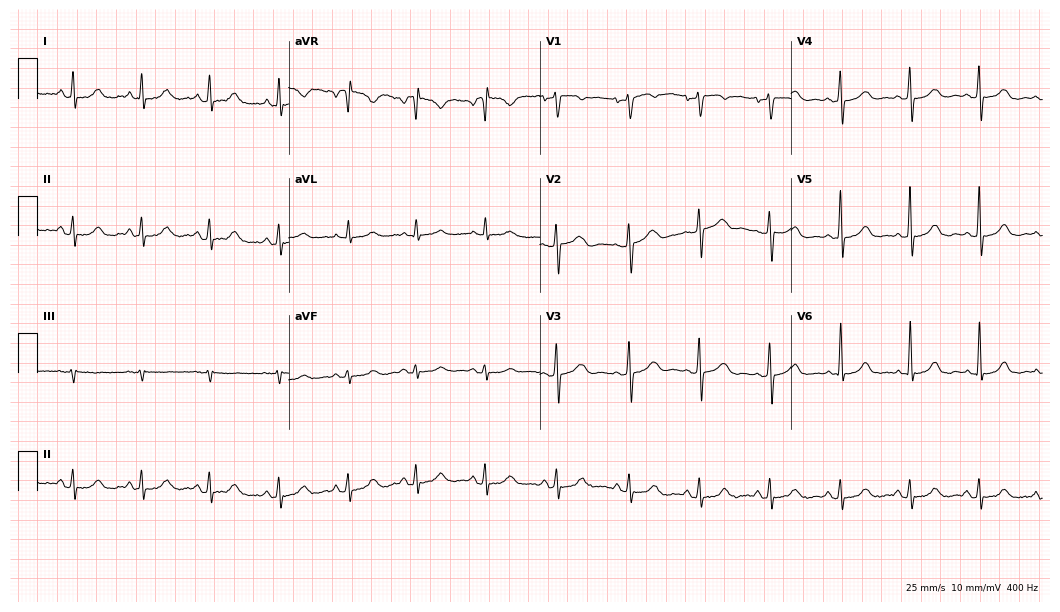
ECG (10.2-second recording at 400 Hz) — a woman, 56 years old. Labelled as a normal ECG.